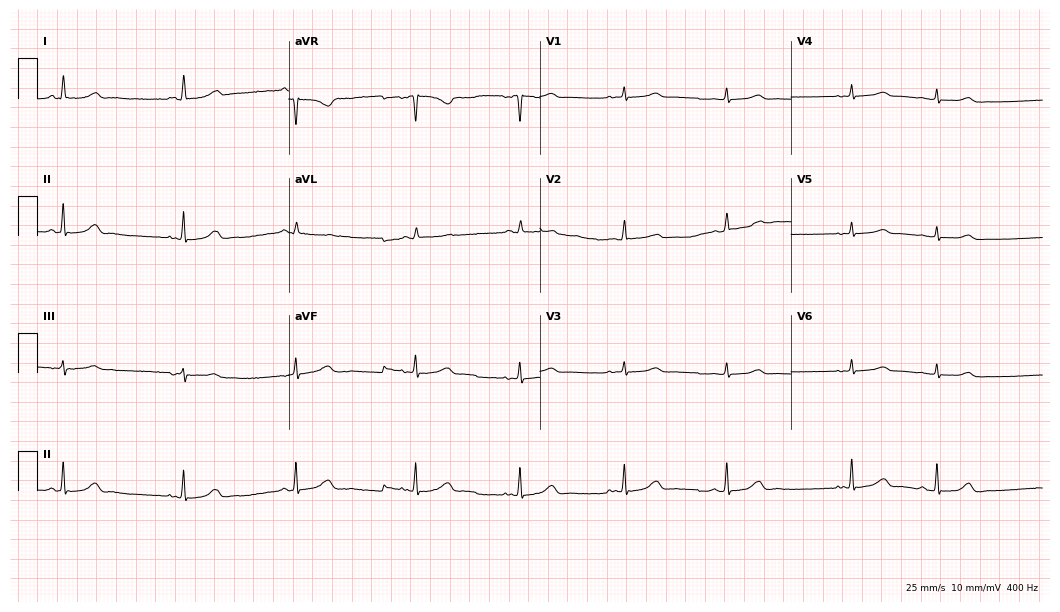
12-lead ECG from a 64-year-old female patient (10.2-second recording at 400 Hz). No first-degree AV block, right bundle branch block (RBBB), left bundle branch block (LBBB), sinus bradycardia, atrial fibrillation (AF) or sinus tachycardia recorded for this tracing. Other findings, if any, are not listed.